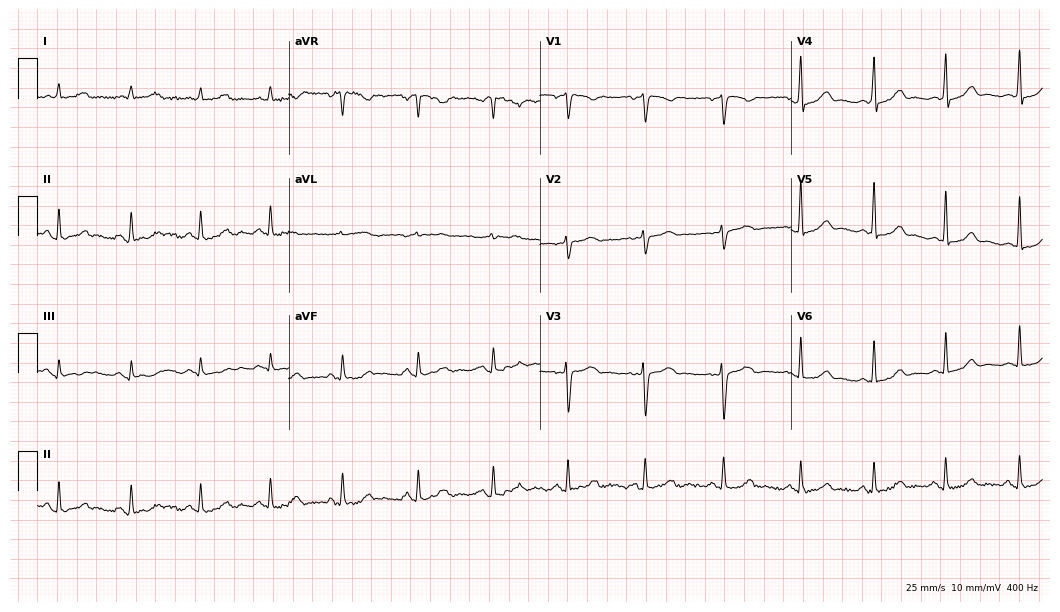
Resting 12-lead electrocardiogram. Patient: a 42-year-old woman. Read as a normal ECG.